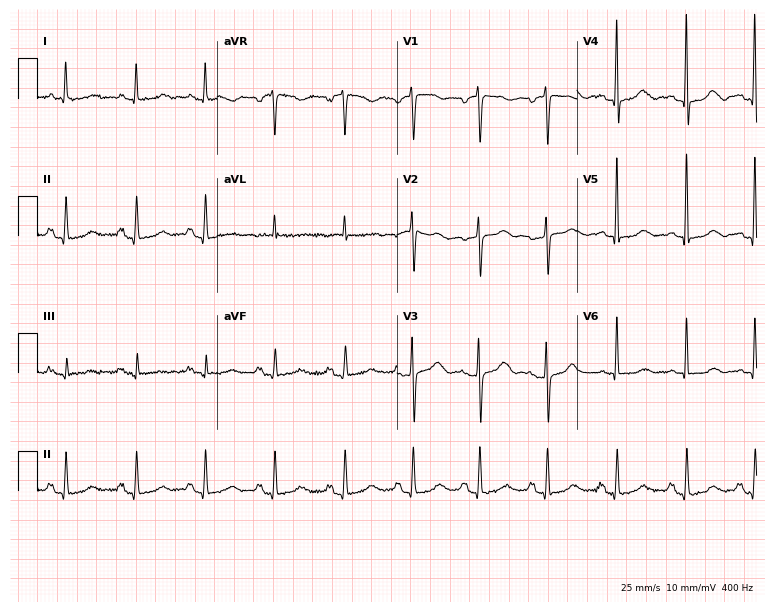
Resting 12-lead electrocardiogram. Patient: a 76-year-old female. None of these six findings is recorded: first-degree AV block, right bundle branch block, left bundle branch block, sinus bradycardia, atrial fibrillation, sinus tachycardia. Other findings, if any, are not listed.